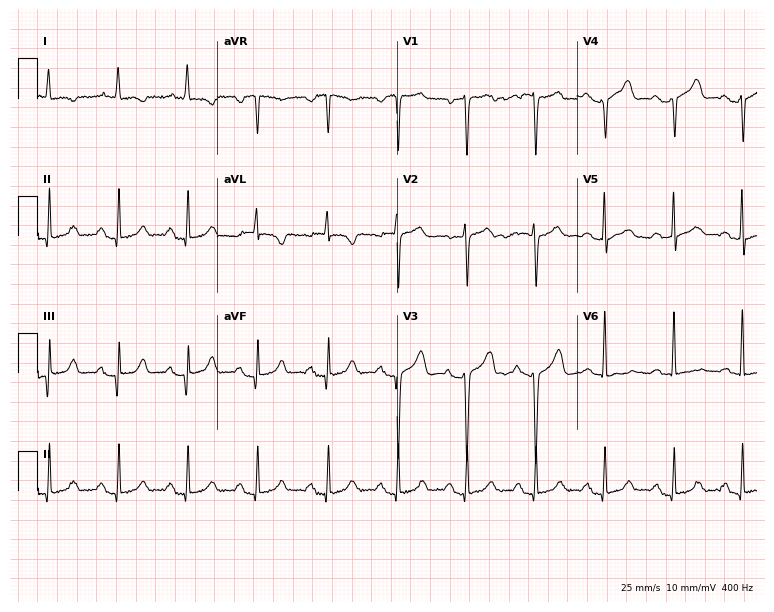
12-lead ECG from a female patient, 75 years old. Screened for six findings — first-degree AV block, right bundle branch block (RBBB), left bundle branch block (LBBB), sinus bradycardia, atrial fibrillation (AF), sinus tachycardia — none is recorded. Only these six findings were labelled.